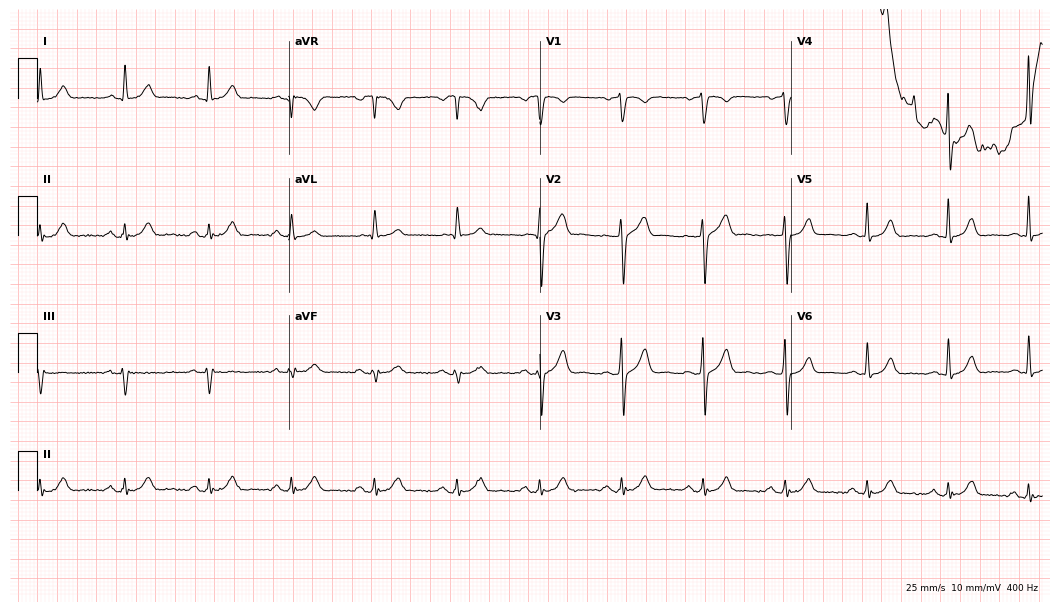
Electrocardiogram, a male, 61 years old. Overall reading on record: normal ECG.